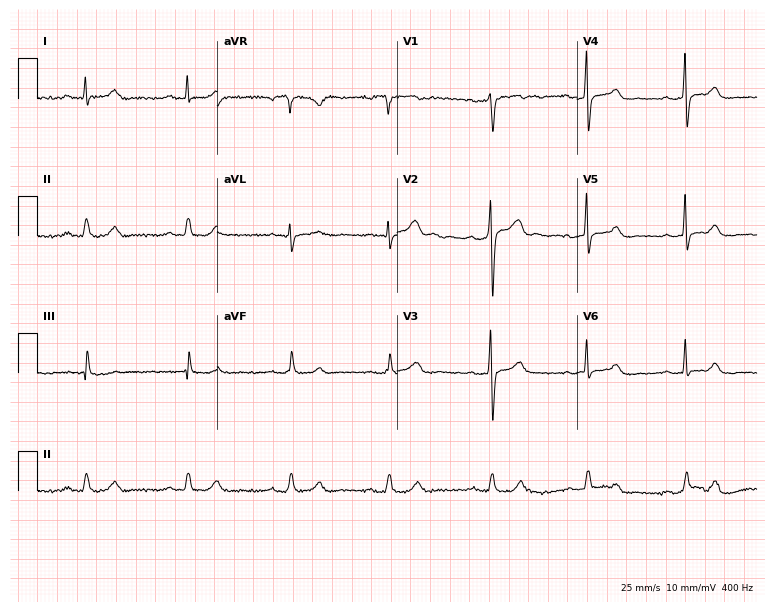
Standard 12-lead ECG recorded from a man, 45 years old. Read as a normal ECG.